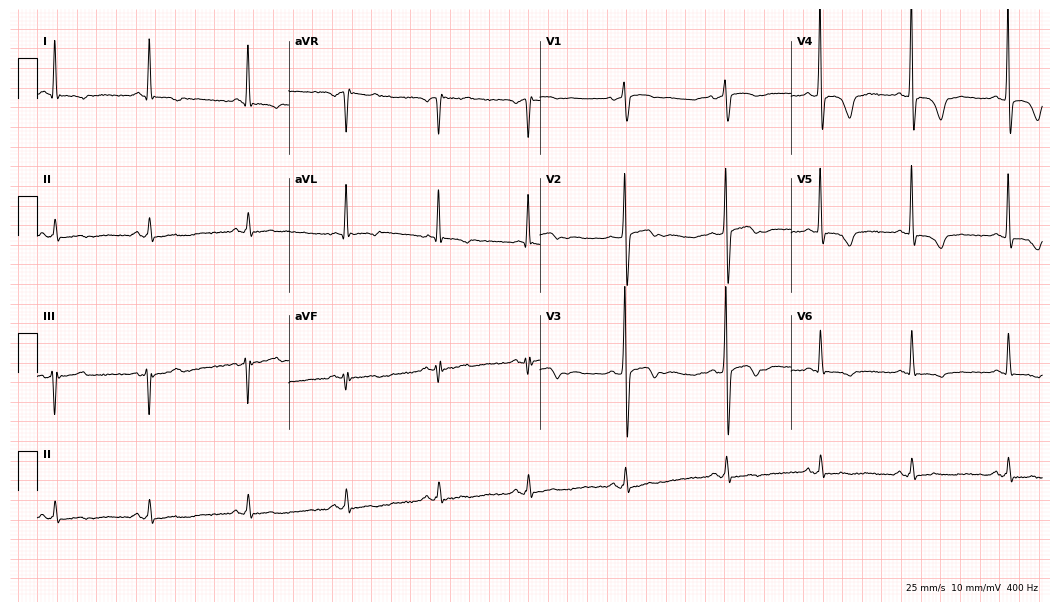
Electrocardiogram (10.2-second recording at 400 Hz), a 70-year-old male patient. Of the six screened findings (first-degree AV block, right bundle branch block, left bundle branch block, sinus bradycardia, atrial fibrillation, sinus tachycardia), none is recorded.